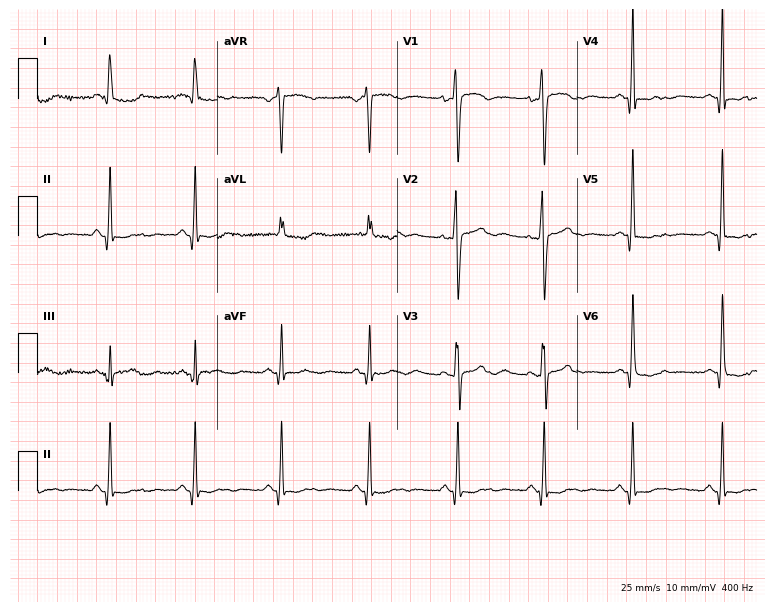
Resting 12-lead electrocardiogram (7.3-second recording at 400 Hz). Patient: a female, 51 years old. None of these six findings is recorded: first-degree AV block, right bundle branch block, left bundle branch block, sinus bradycardia, atrial fibrillation, sinus tachycardia.